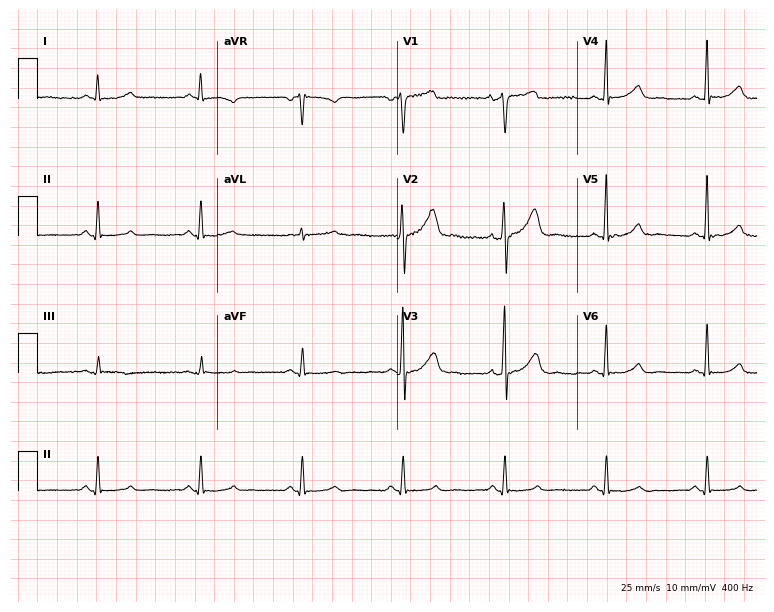
Resting 12-lead electrocardiogram. Patient: a male, 50 years old. Read as a normal ECG.